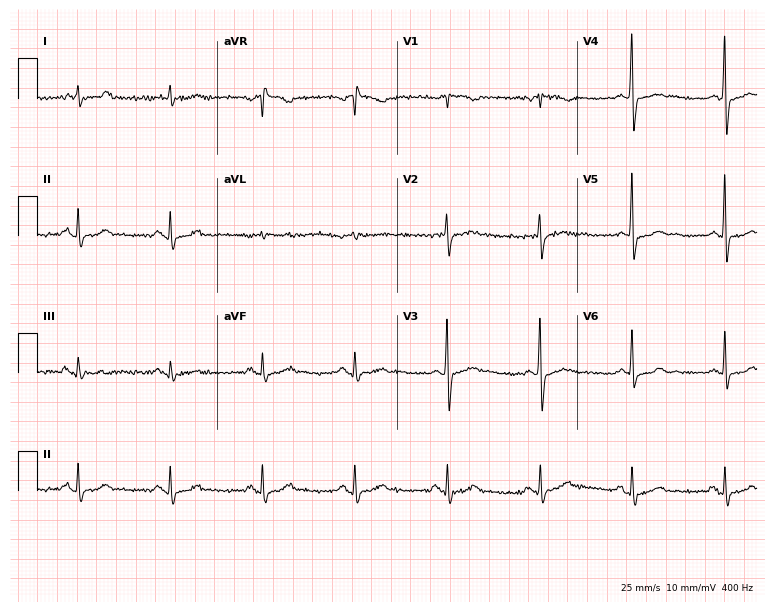
Standard 12-lead ECG recorded from a 74-year-old male (7.3-second recording at 400 Hz). Read as a normal ECG.